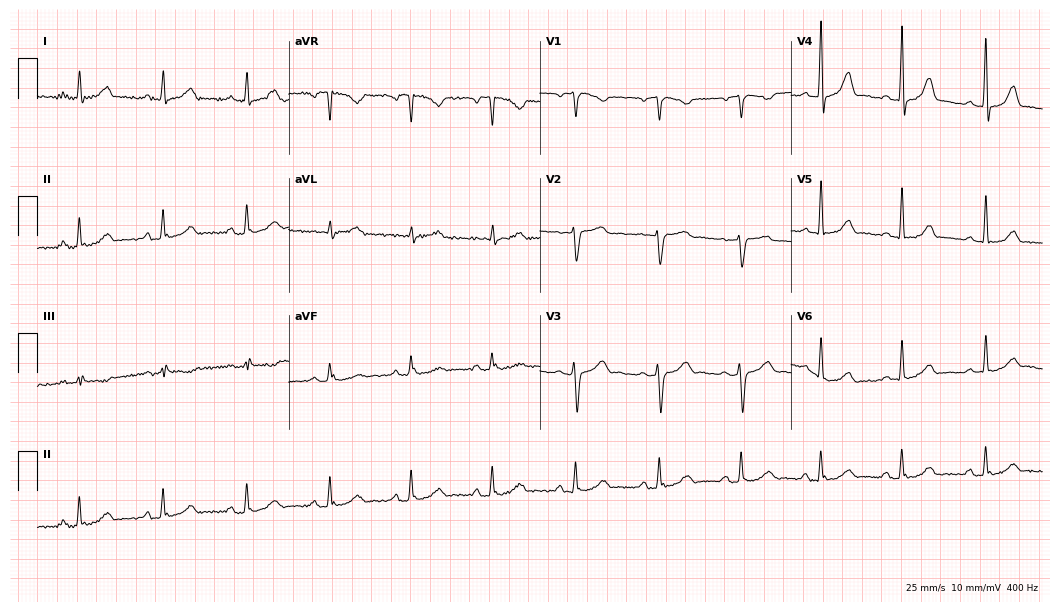
12-lead ECG from a female patient, 45 years old. No first-degree AV block, right bundle branch block (RBBB), left bundle branch block (LBBB), sinus bradycardia, atrial fibrillation (AF) or sinus tachycardia recorded for this tracing. Other findings, if any, are not listed.